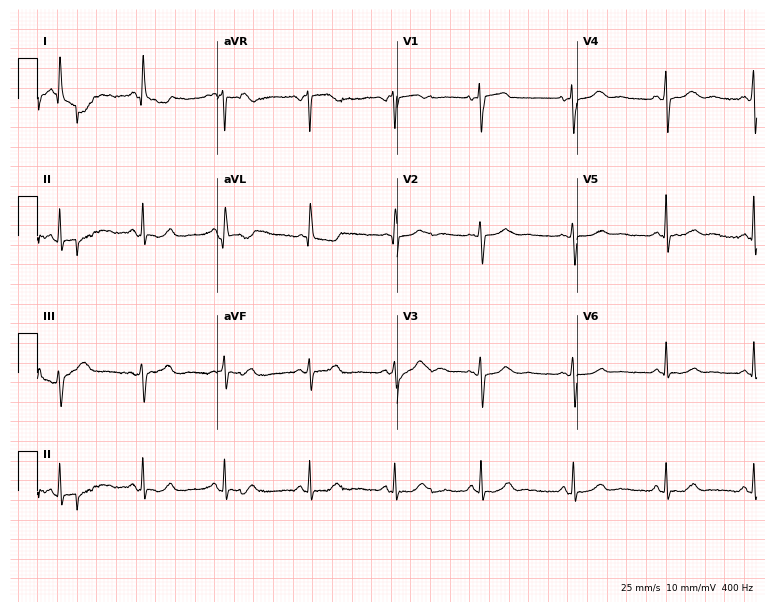
Standard 12-lead ECG recorded from a female, 59 years old. None of these six findings is recorded: first-degree AV block, right bundle branch block, left bundle branch block, sinus bradycardia, atrial fibrillation, sinus tachycardia.